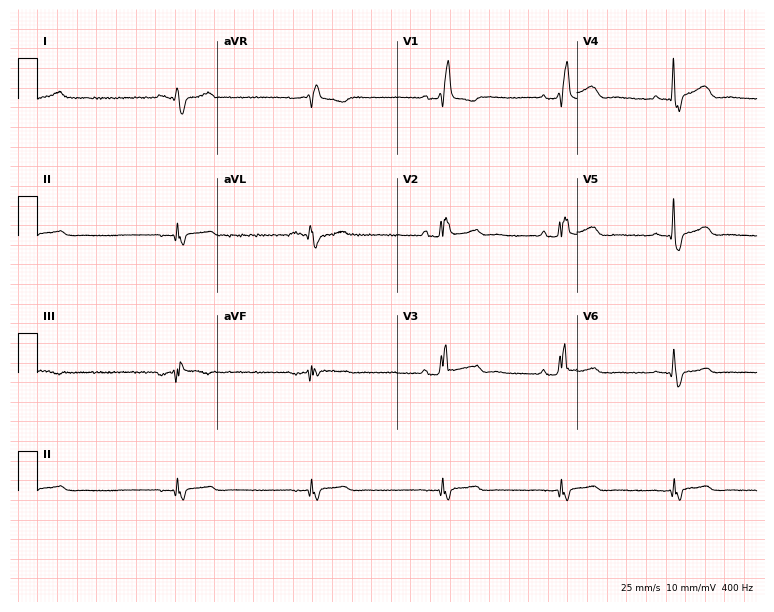
Standard 12-lead ECG recorded from a 44-year-old male. None of these six findings is recorded: first-degree AV block, right bundle branch block, left bundle branch block, sinus bradycardia, atrial fibrillation, sinus tachycardia. Only these six findings were labelled.